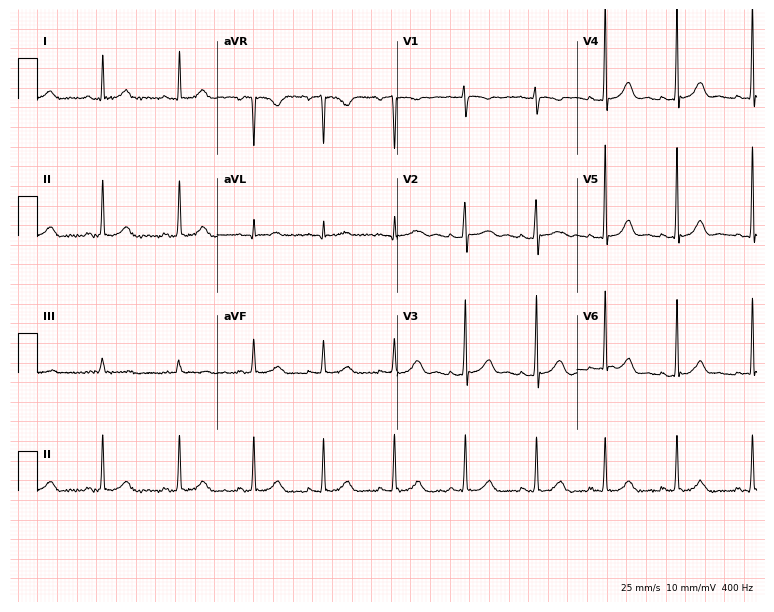
12-lead ECG from a woman, 21 years old. Labelled as a normal ECG.